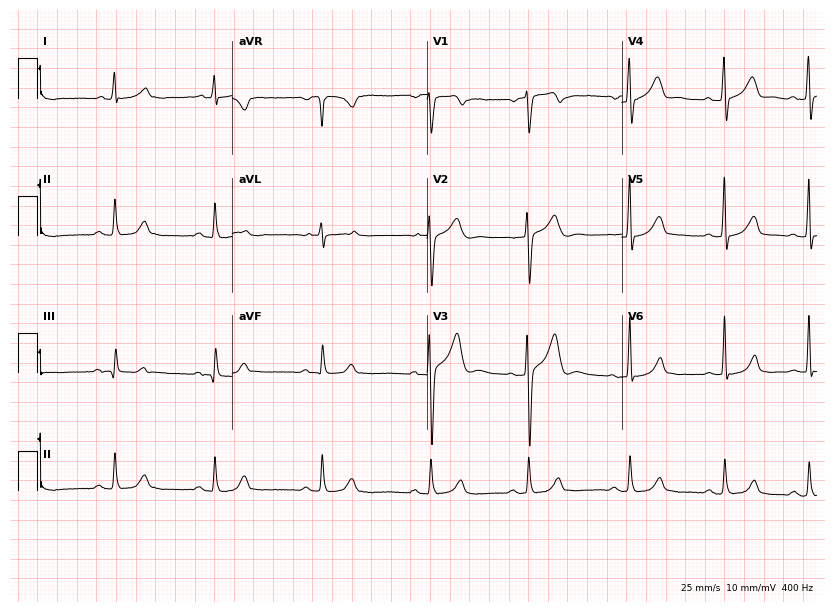
12-lead ECG from a 40-year-old male patient. Labelled as a normal ECG.